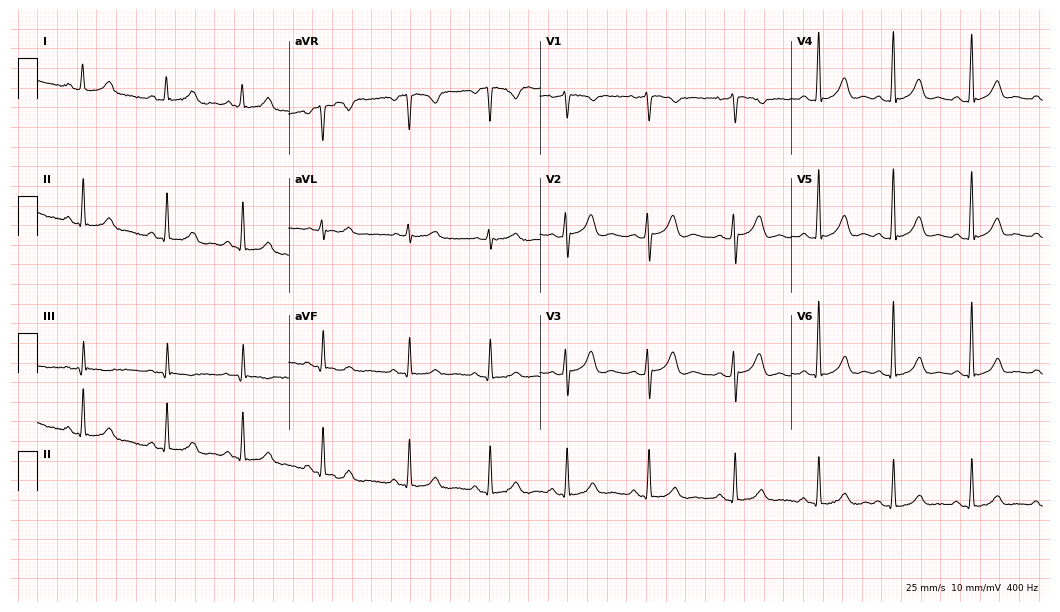
Electrocardiogram, a woman, 36 years old. Overall reading on record: normal ECG.